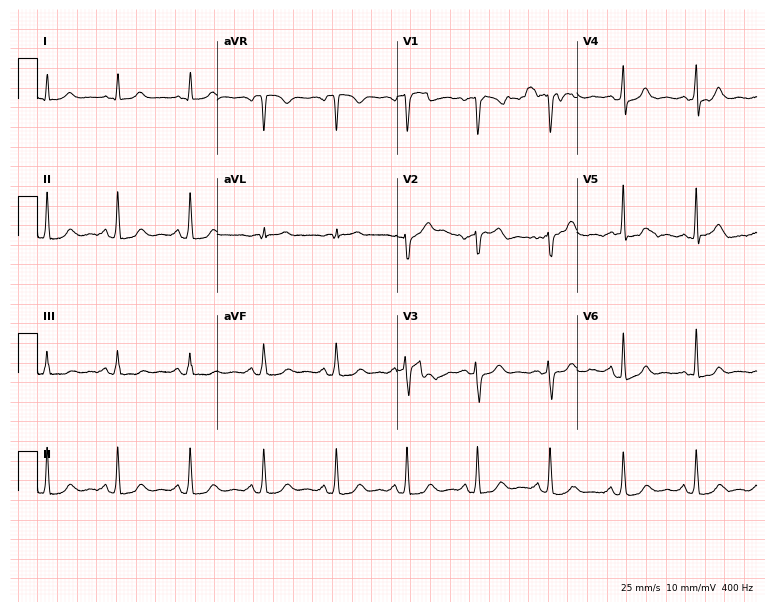
12-lead ECG (7.3-second recording at 400 Hz) from a 52-year-old woman. Labelled as a normal ECG.